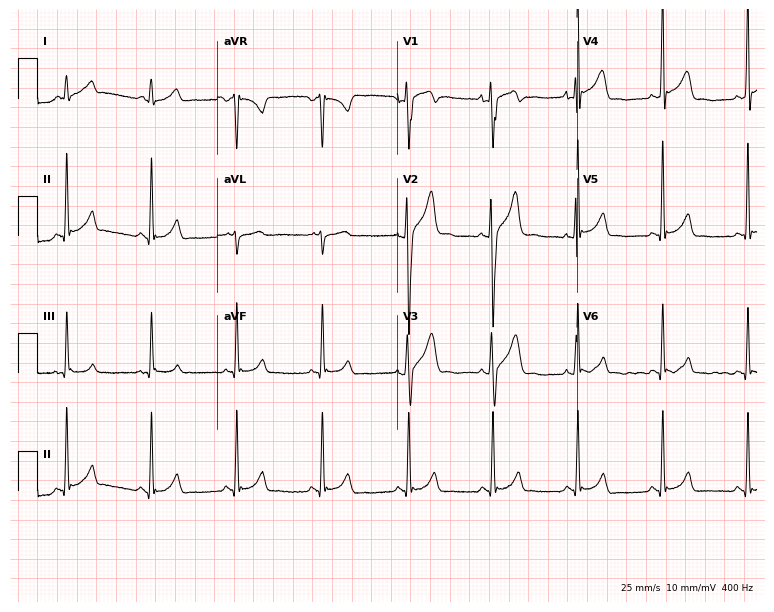
ECG (7.3-second recording at 400 Hz) — a male patient, 27 years old. Screened for six findings — first-degree AV block, right bundle branch block (RBBB), left bundle branch block (LBBB), sinus bradycardia, atrial fibrillation (AF), sinus tachycardia — none is recorded. Findings outside these six are not listed.